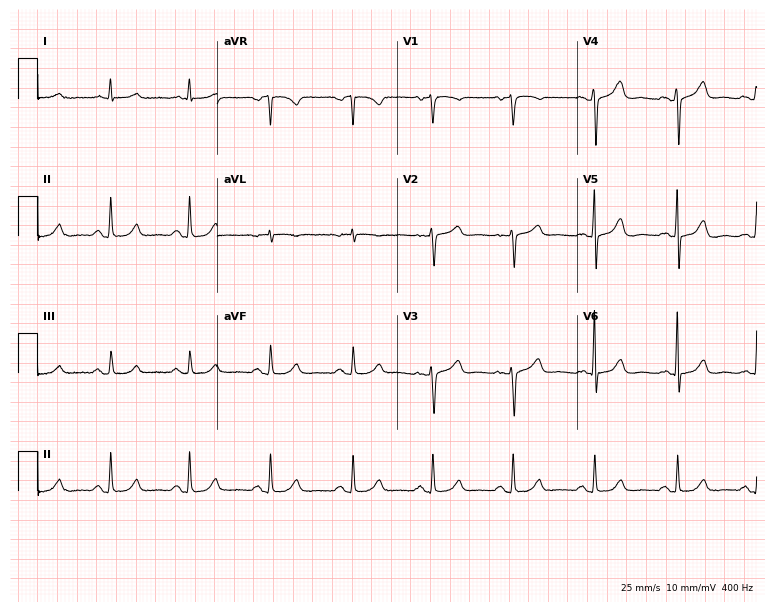
ECG — a female patient, 70 years old. Screened for six findings — first-degree AV block, right bundle branch block, left bundle branch block, sinus bradycardia, atrial fibrillation, sinus tachycardia — none is recorded. Findings outside these six are not listed.